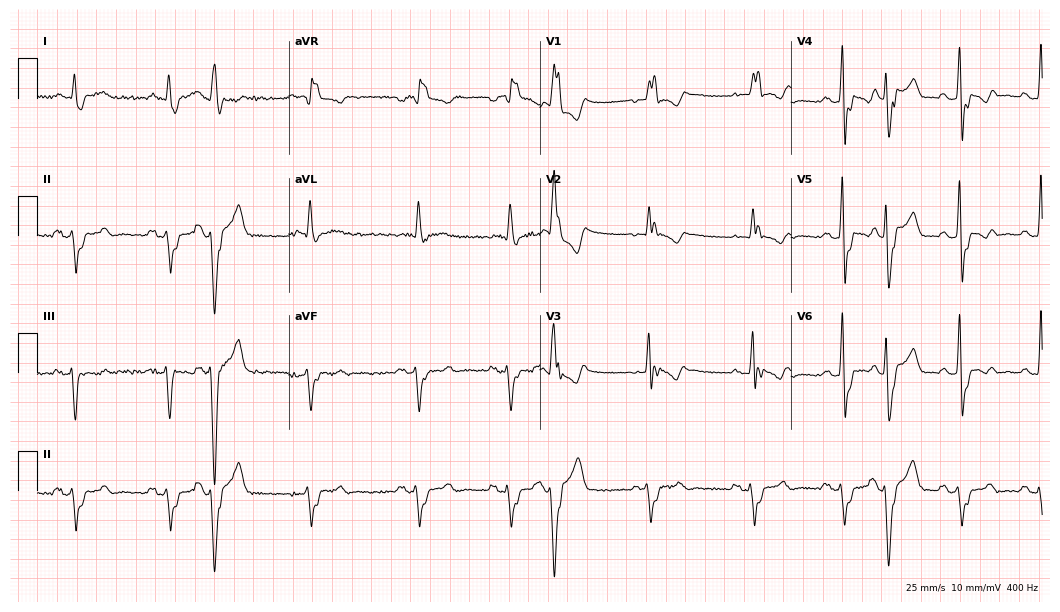
12-lead ECG (10.2-second recording at 400 Hz) from a male, 70 years old. Findings include right bundle branch block.